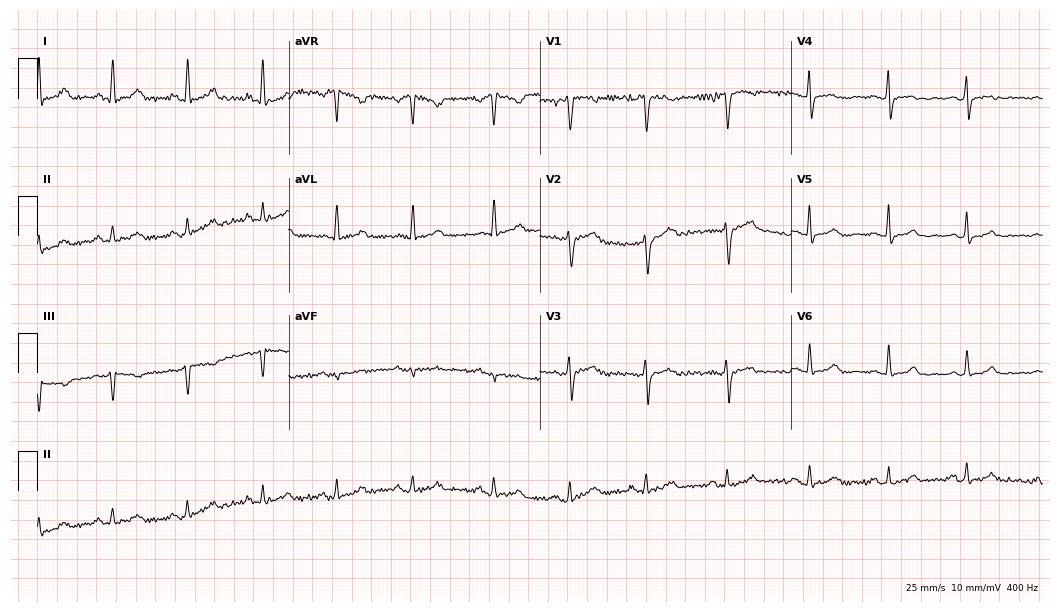
12-lead ECG from a female patient, 50 years old. Labelled as a normal ECG.